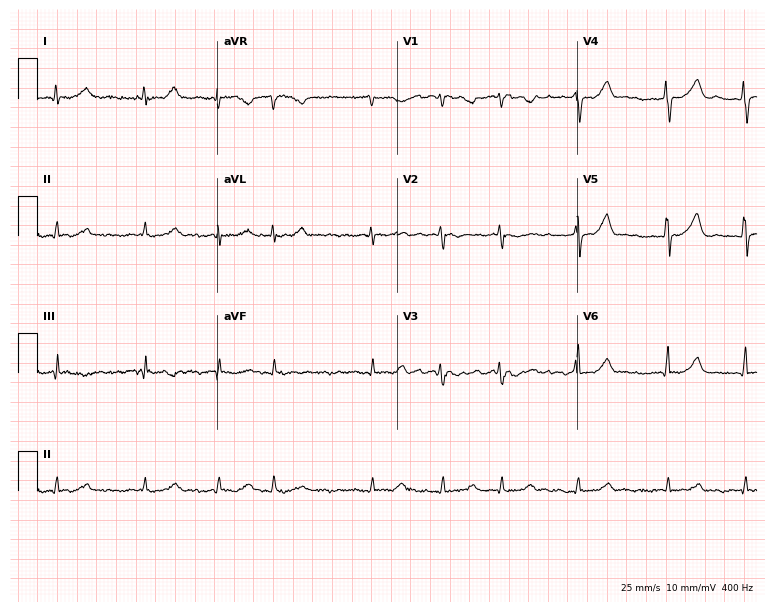
ECG — a woman, 56 years old. Findings include atrial fibrillation.